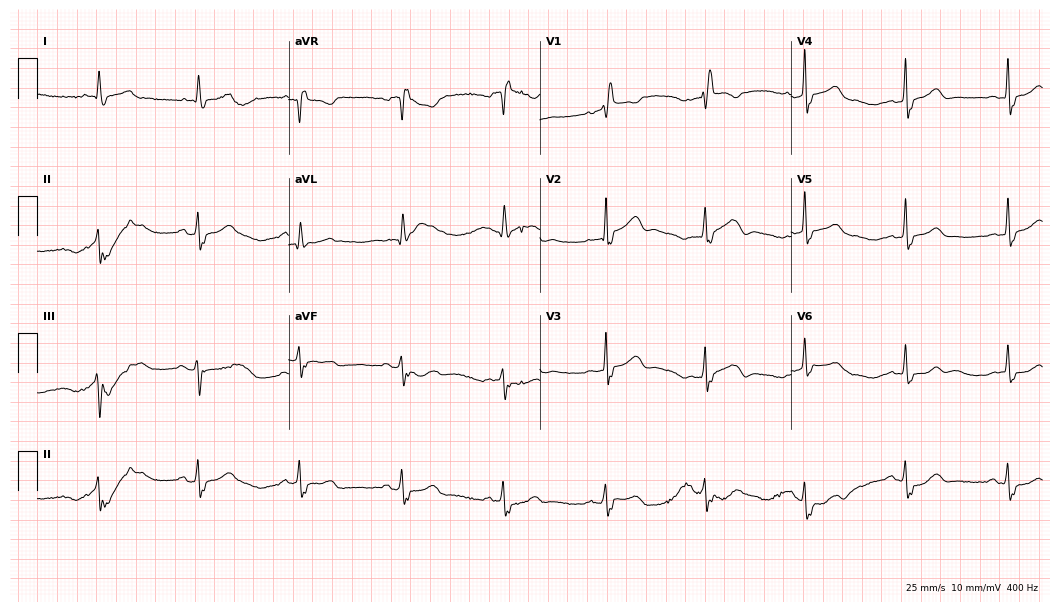
12-lead ECG from a male, 79 years old (10.2-second recording at 400 Hz). Shows right bundle branch block.